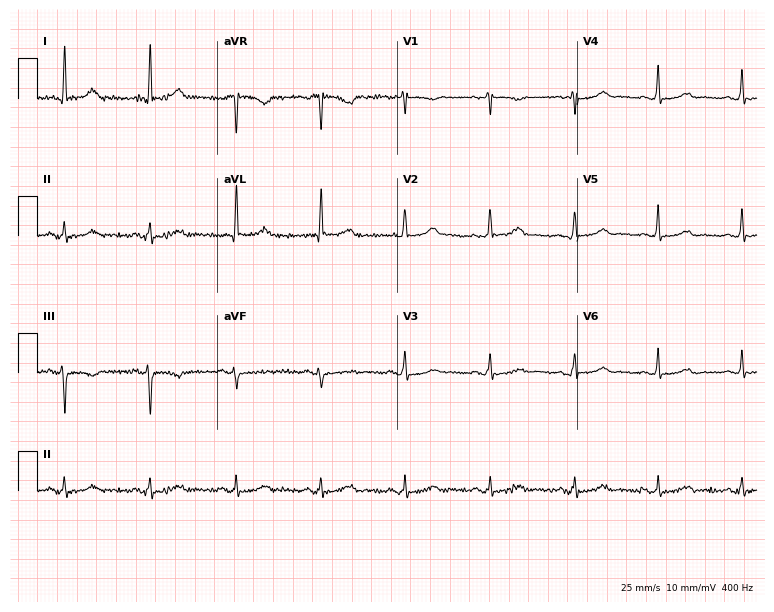
12-lead ECG from a 79-year-old female. Labelled as a normal ECG.